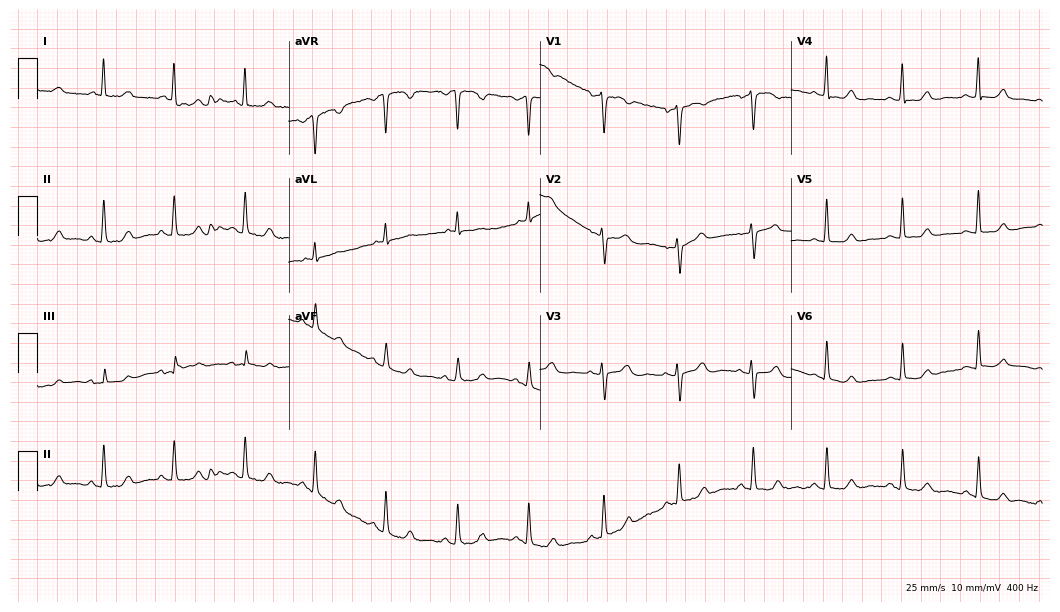
ECG — a woman, 55 years old. Labelled as a normal ECG.